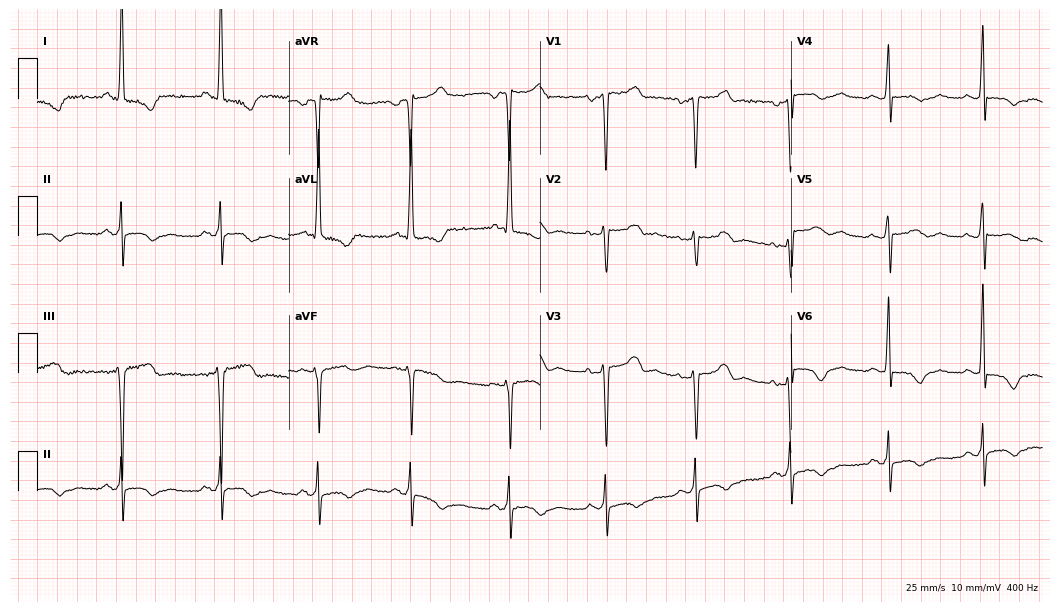
Electrocardiogram (10.2-second recording at 400 Hz), a 45-year-old female patient. Of the six screened findings (first-degree AV block, right bundle branch block (RBBB), left bundle branch block (LBBB), sinus bradycardia, atrial fibrillation (AF), sinus tachycardia), none is recorded.